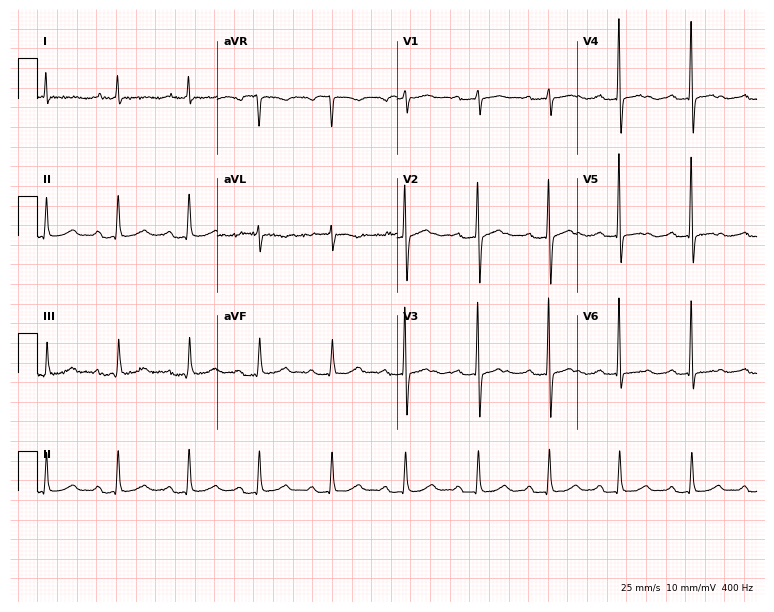
12-lead ECG from a 67-year-old woman (7.3-second recording at 400 Hz). No first-degree AV block, right bundle branch block, left bundle branch block, sinus bradycardia, atrial fibrillation or sinus tachycardia recorded for this tracing. Findings outside these six are not listed.